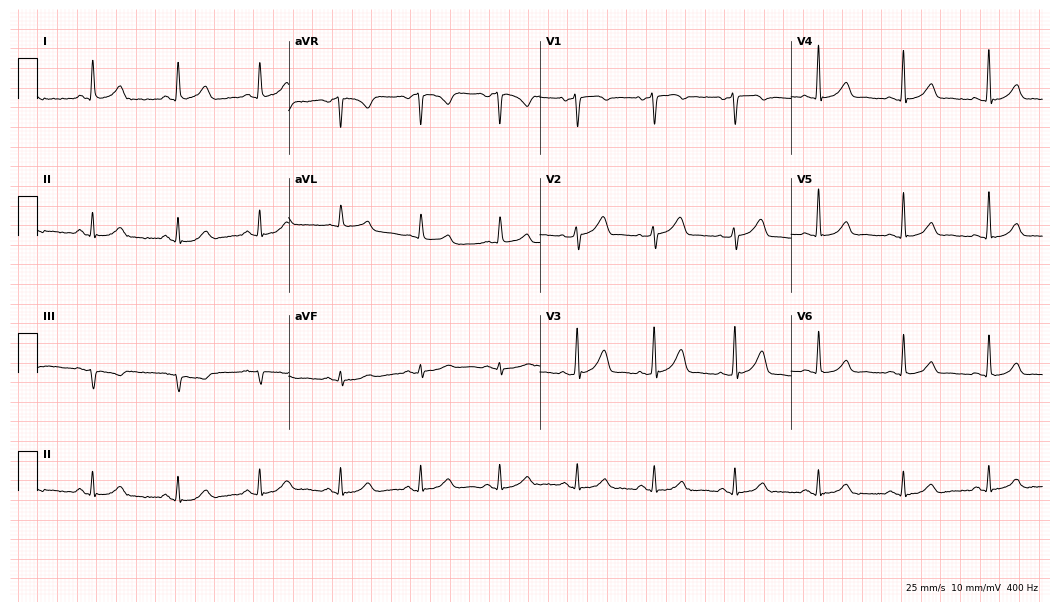
12-lead ECG from a male, 74 years old. Recorded interpretation: within normal limits.